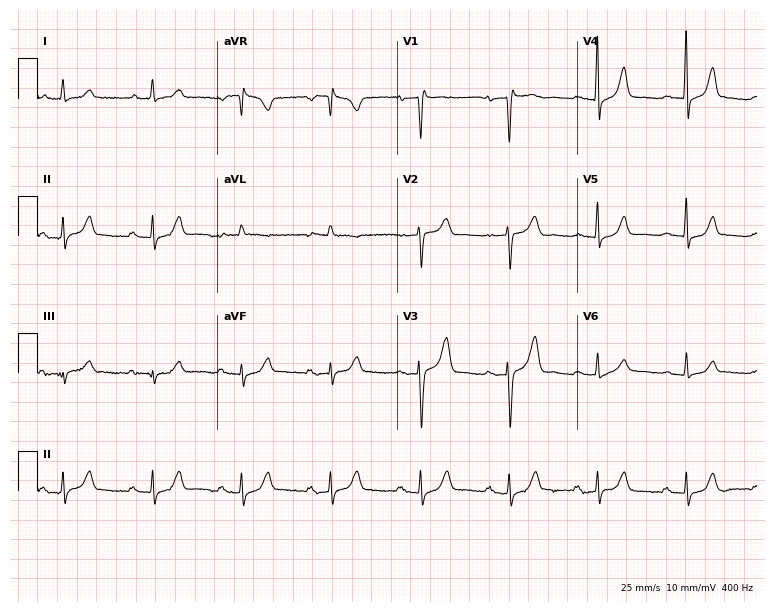
12-lead ECG (7.3-second recording at 400 Hz) from an 85-year-old female. Findings include first-degree AV block.